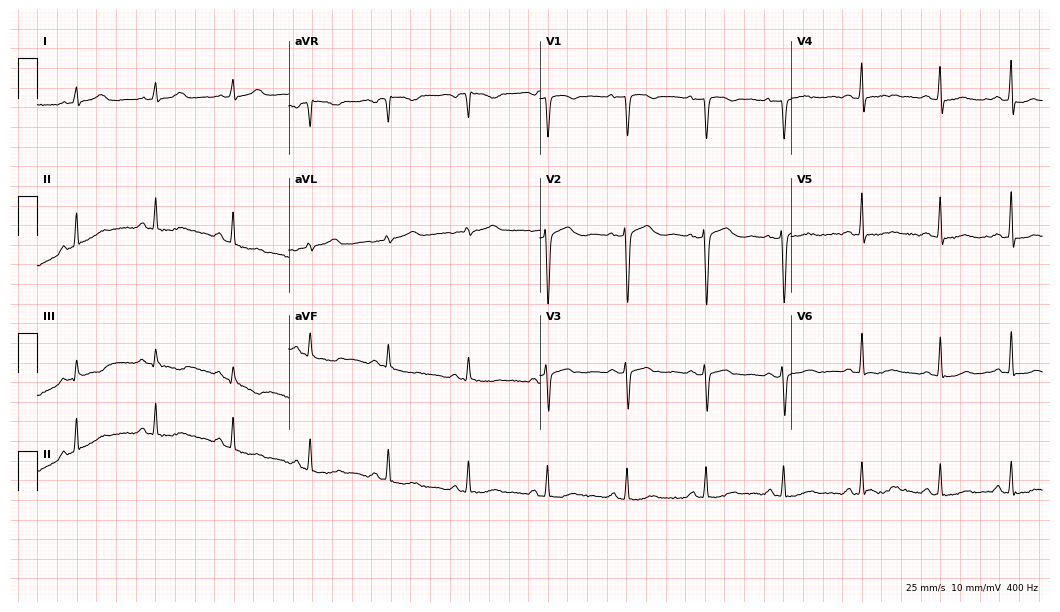
12-lead ECG from a 39-year-old female patient (10.2-second recording at 400 Hz). Recorded interpretation: within normal limits.